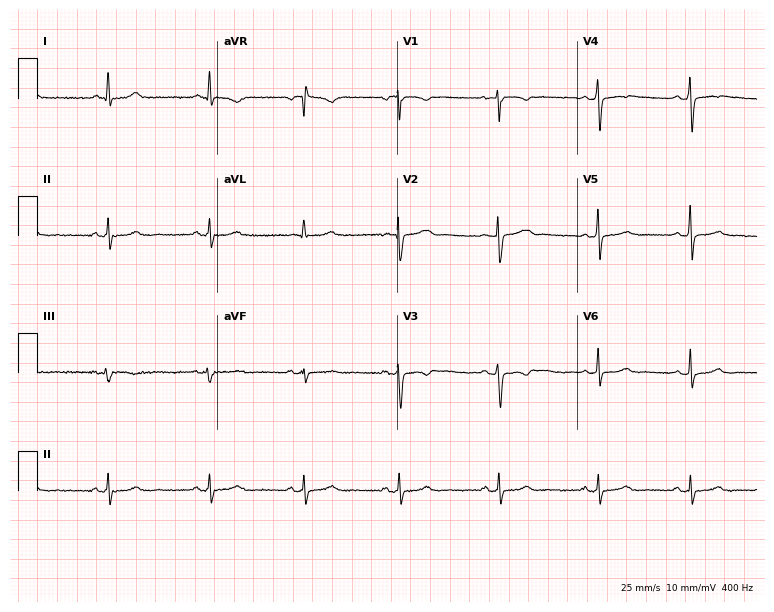
Resting 12-lead electrocardiogram (7.3-second recording at 400 Hz). Patient: a 41-year-old female. None of these six findings is recorded: first-degree AV block, right bundle branch block, left bundle branch block, sinus bradycardia, atrial fibrillation, sinus tachycardia. Other findings, if any, are not listed.